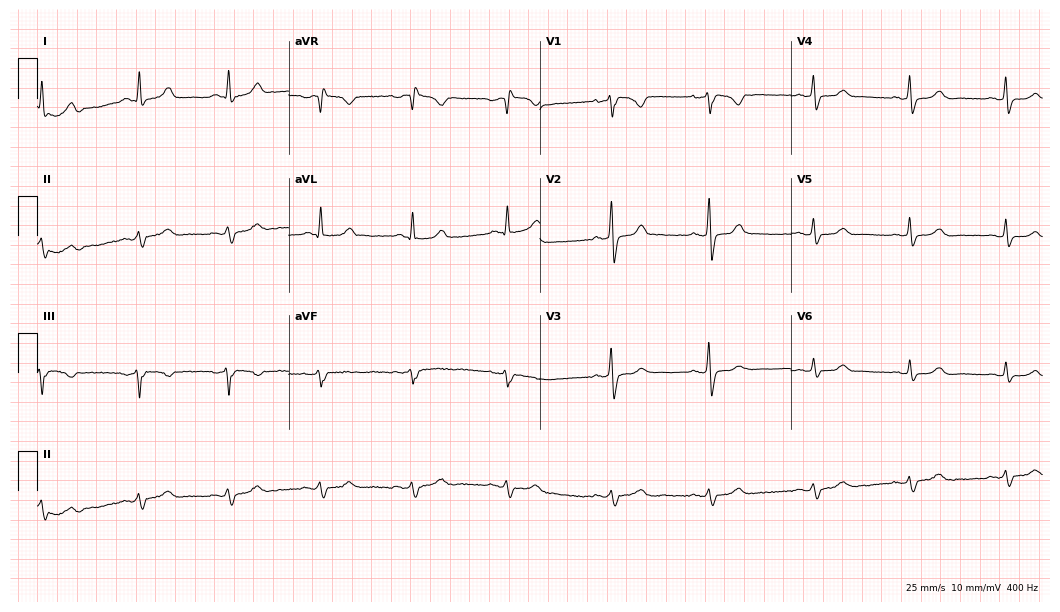
12-lead ECG (10.2-second recording at 400 Hz) from a female patient, 40 years old. Screened for six findings — first-degree AV block, right bundle branch block, left bundle branch block, sinus bradycardia, atrial fibrillation, sinus tachycardia — none is recorded. Only these six findings were labelled.